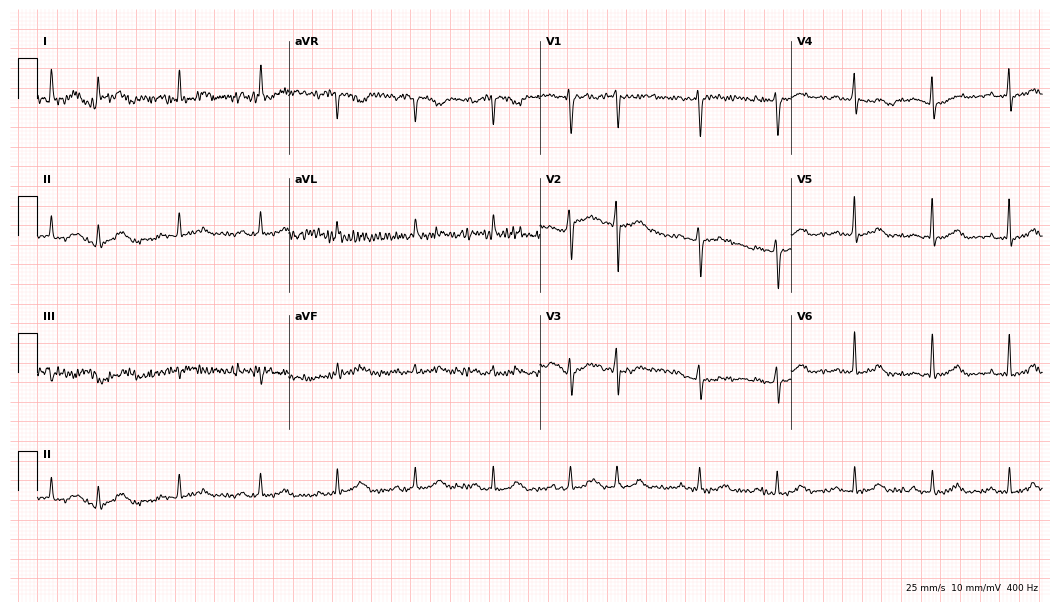
ECG (10.2-second recording at 400 Hz) — a 67-year-old male. Screened for six findings — first-degree AV block, right bundle branch block, left bundle branch block, sinus bradycardia, atrial fibrillation, sinus tachycardia — none is recorded. Other findings, if any, are not listed.